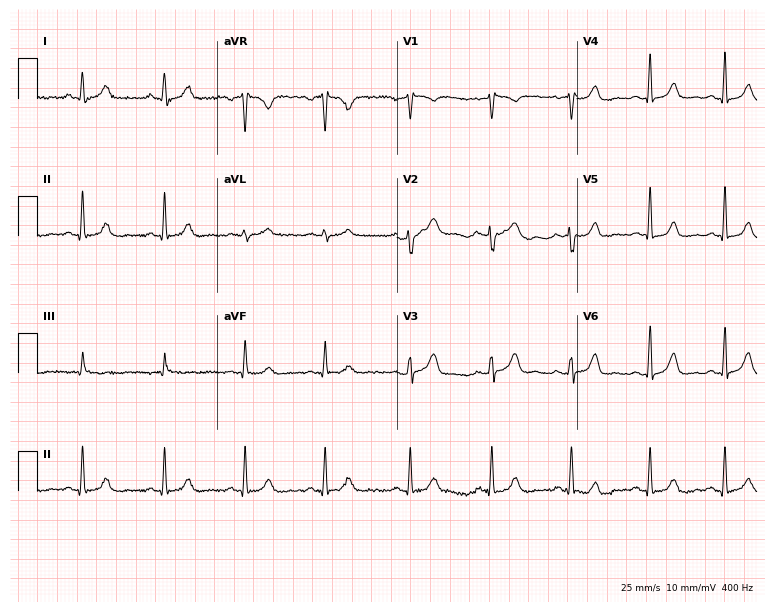
12-lead ECG from a 46-year-old female patient (7.3-second recording at 400 Hz). No first-degree AV block, right bundle branch block, left bundle branch block, sinus bradycardia, atrial fibrillation or sinus tachycardia recorded for this tracing.